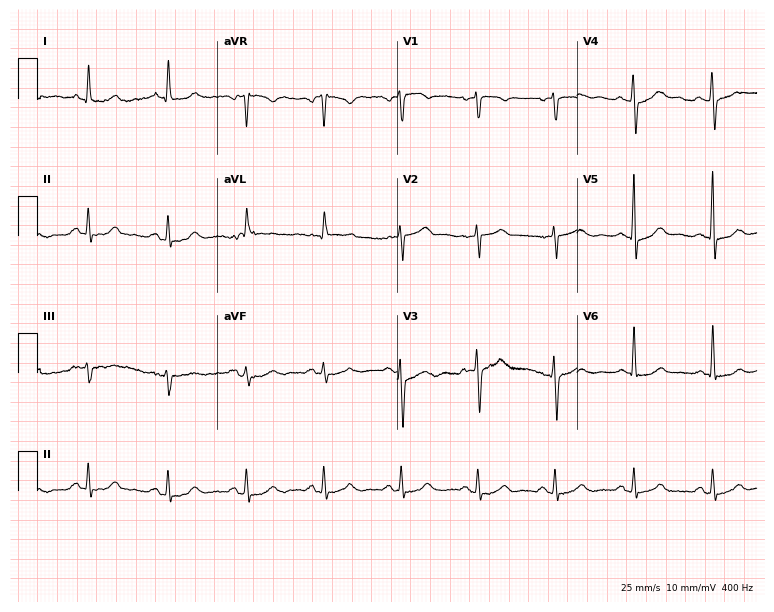
Standard 12-lead ECG recorded from a woman, 61 years old (7.3-second recording at 400 Hz). None of these six findings is recorded: first-degree AV block, right bundle branch block, left bundle branch block, sinus bradycardia, atrial fibrillation, sinus tachycardia.